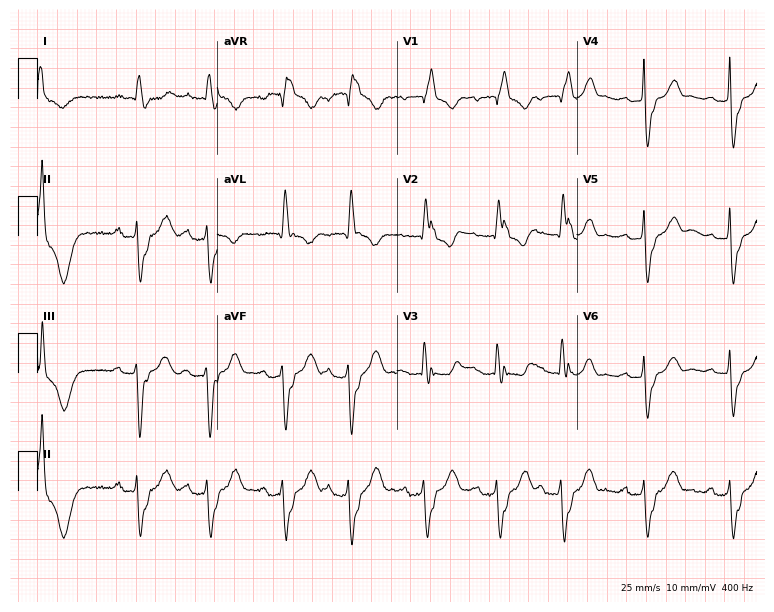
Electrocardiogram, an 83-year-old female. Interpretation includes first-degree AV block, right bundle branch block.